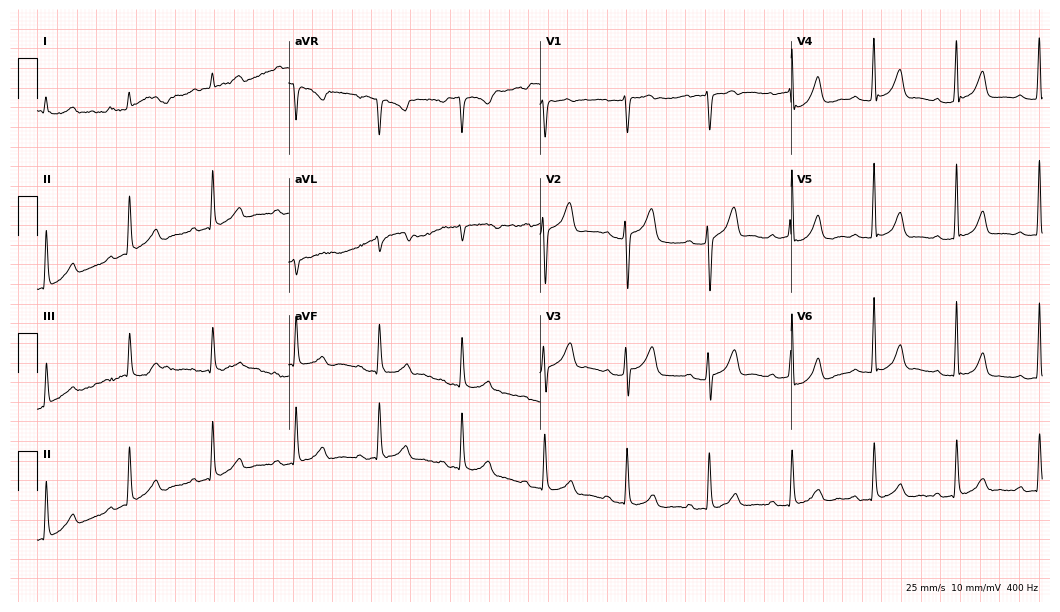
Standard 12-lead ECG recorded from a 48-year-old male (10.2-second recording at 400 Hz). Read as a normal ECG.